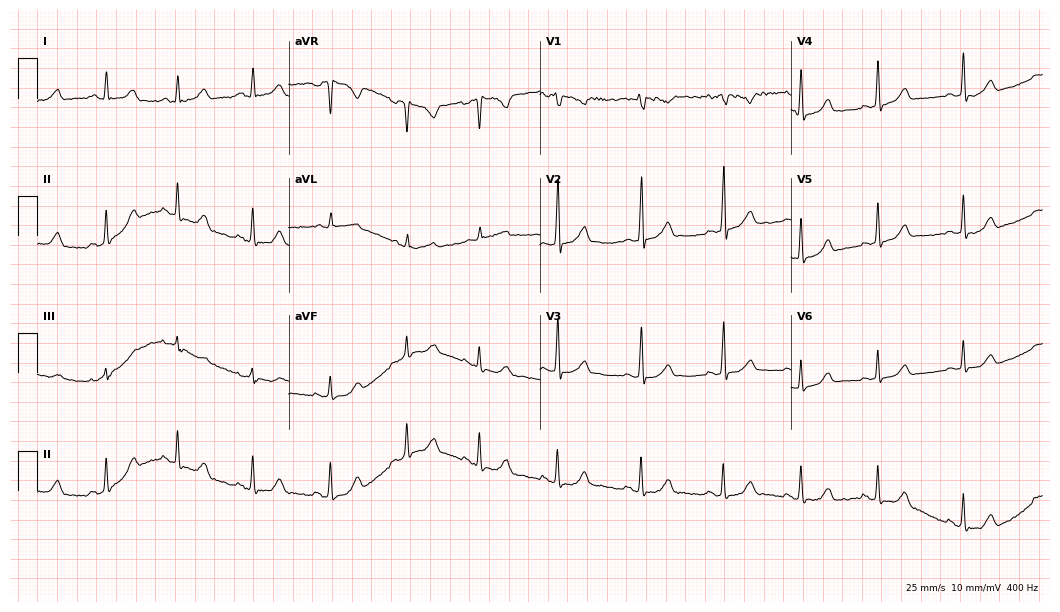
Standard 12-lead ECG recorded from a 22-year-old woman. Read as a normal ECG.